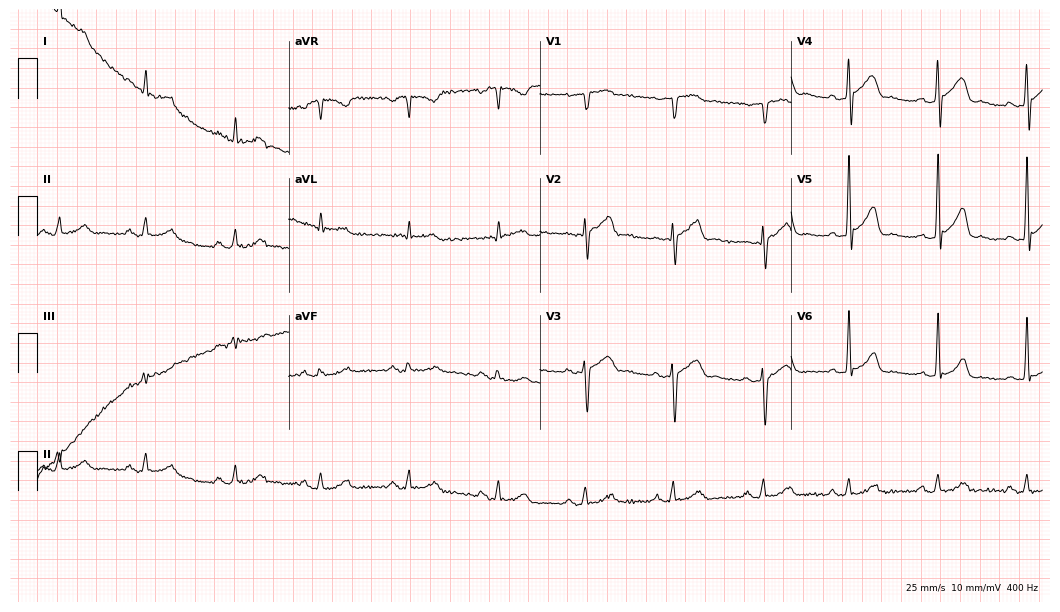
Electrocardiogram (10.2-second recording at 400 Hz), a 62-year-old man. Overall reading on record: normal ECG.